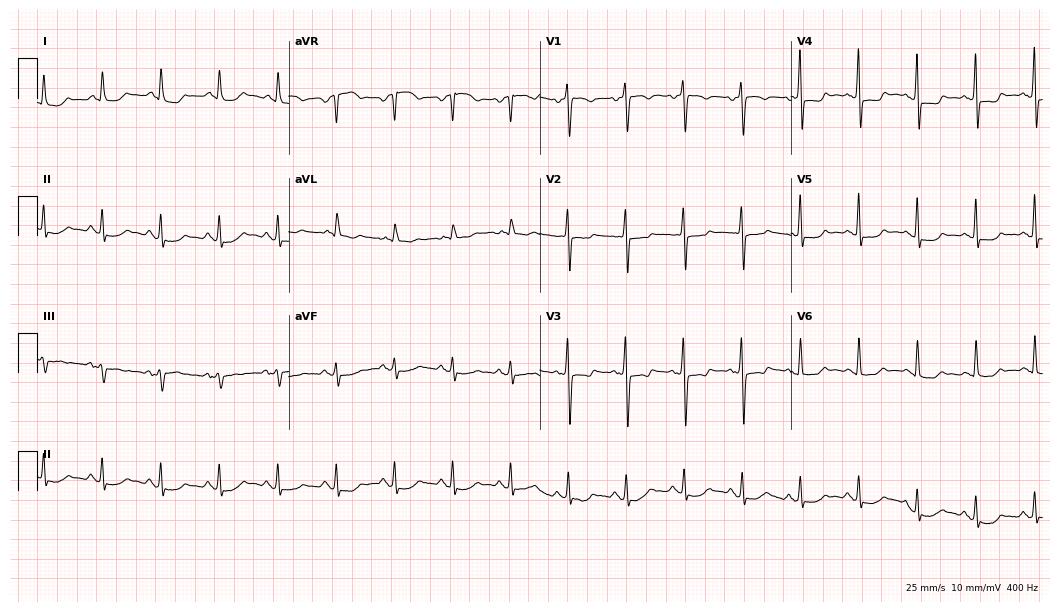
12-lead ECG (10.2-second recording at 400 Hz) from a female patient, 52 years old. Screened for six findings — first-degree AV block, right bundle branch block, left bundle branch block, sinus bradycardia, atrial fibrillation, sinus tachycardia — none is recorded. Only these six findings were labelled.